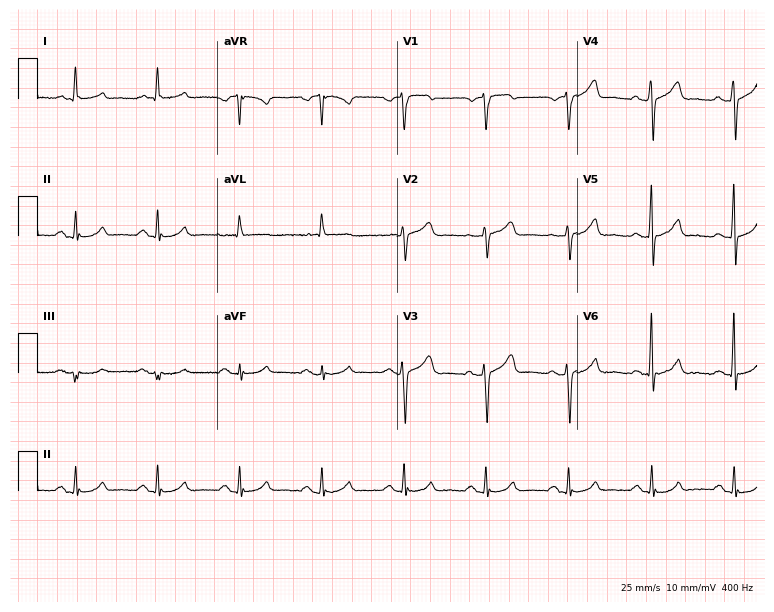
12-lead ECG from a 76-year-old man. Labelled as a normal ECG.